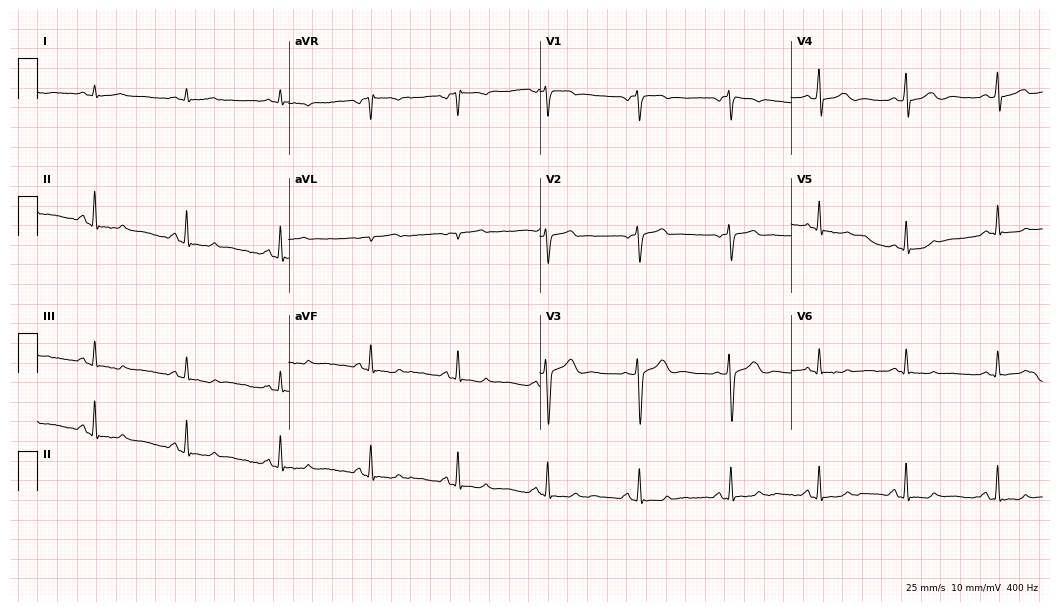
Resting 12-lead electrocardiogram. Patient: a 44-year-old man. None of these six findings is recorded: first-degree AV block, right bundle branch block, left bundle branch block, sinus bradycardia, atrial fibrillation, sinus tachycardia.